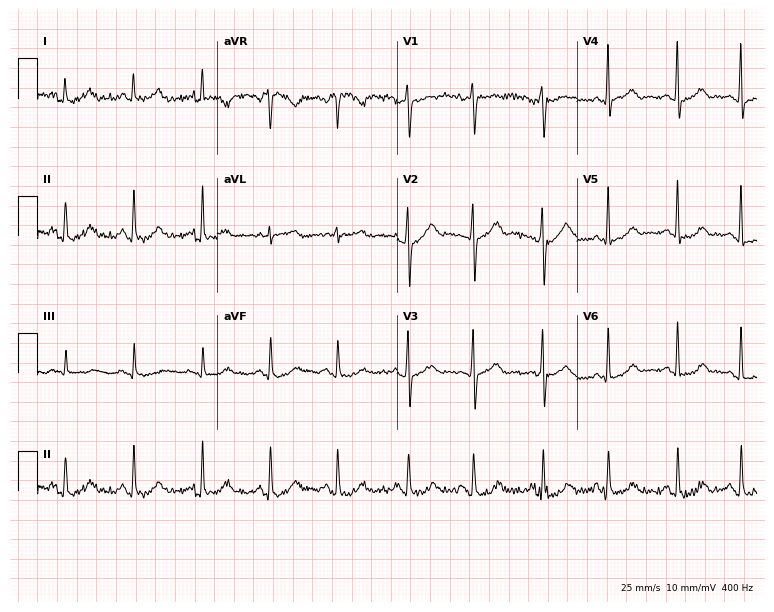
Standard 12-lead ECG recorded from a woman, 52 years old (7.3-second recording at 400 Hz). None of these six findings is recorded: first-degree AV block, right bundle branch block (RBBB), left bundle branch block (LBBB), sinus bradycardia, atrial fibrillation (AF), sinus tachycardia. Other findings, if any, are not listed.